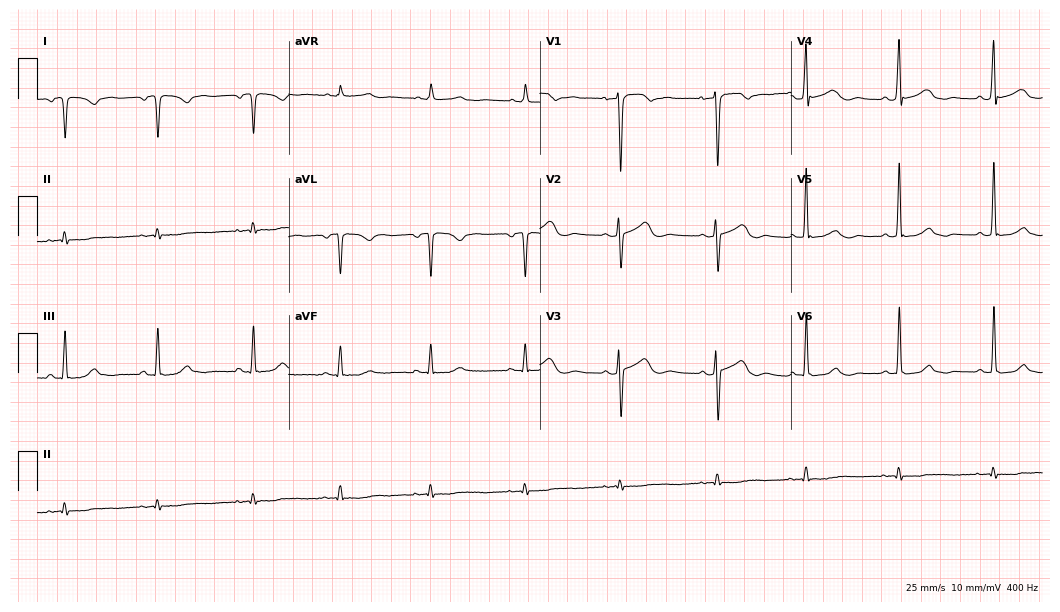
Electrocardiogram, a female, 51 years old. Of the six screened findings (first-degree AV block, right bundle branch block, left bundle branch block, sinus bradycardia, atrial fibrillation, sinus tachycardia), none is recorded.